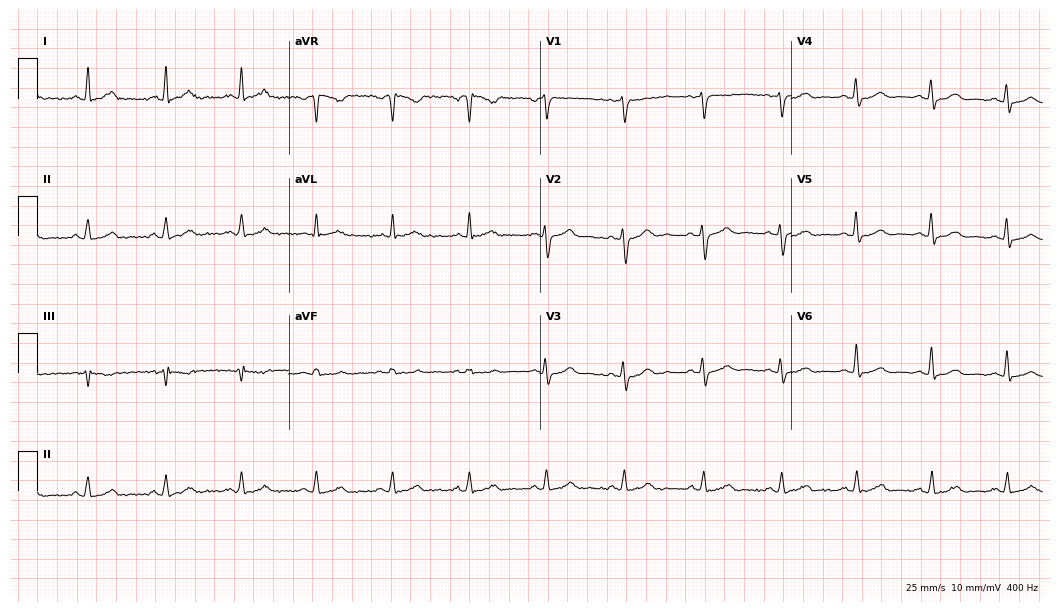
Electrocardiogram (10.2-second recording at 400 Hz), a male, 43 years old. Overall reading on record: normal ECG.